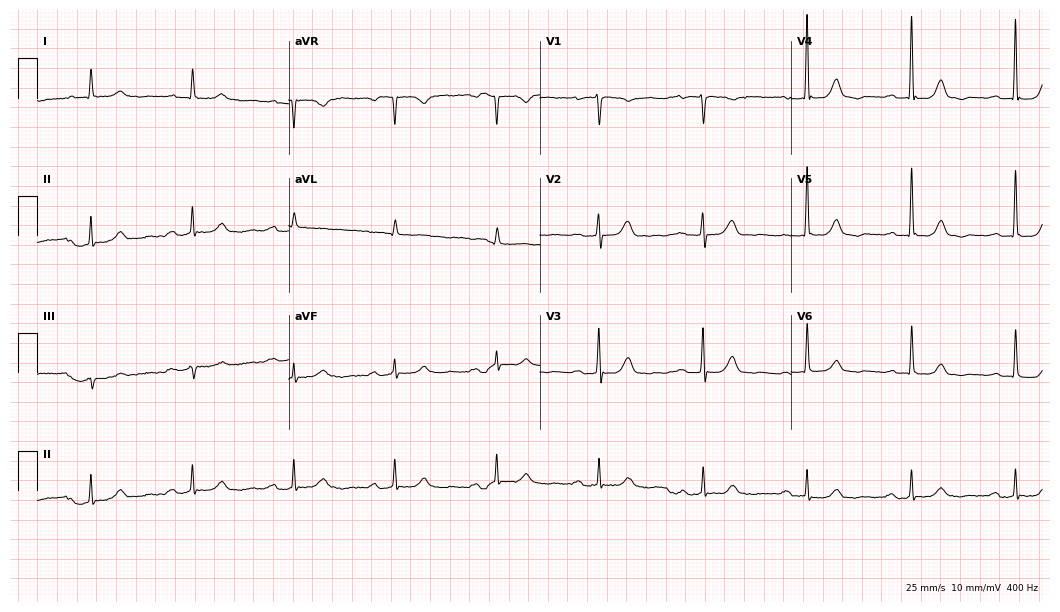
ECG (10.2-second recording at 400 Hz) — a 79-year-old female patient. Labelled as a normal ECG.